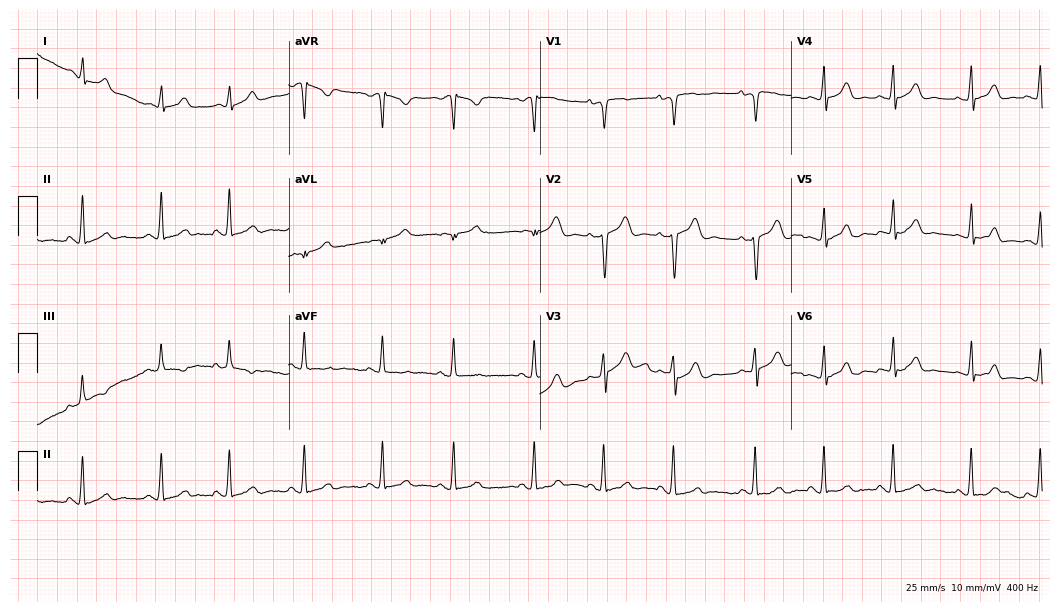
ECG — a female, 17 years old. Screened for six findings — first-degree AV block, right bundle branch block, left bundle branch block, sinus bradycardia, atrial fibrillation, sinus tachycardia — none is recorded.